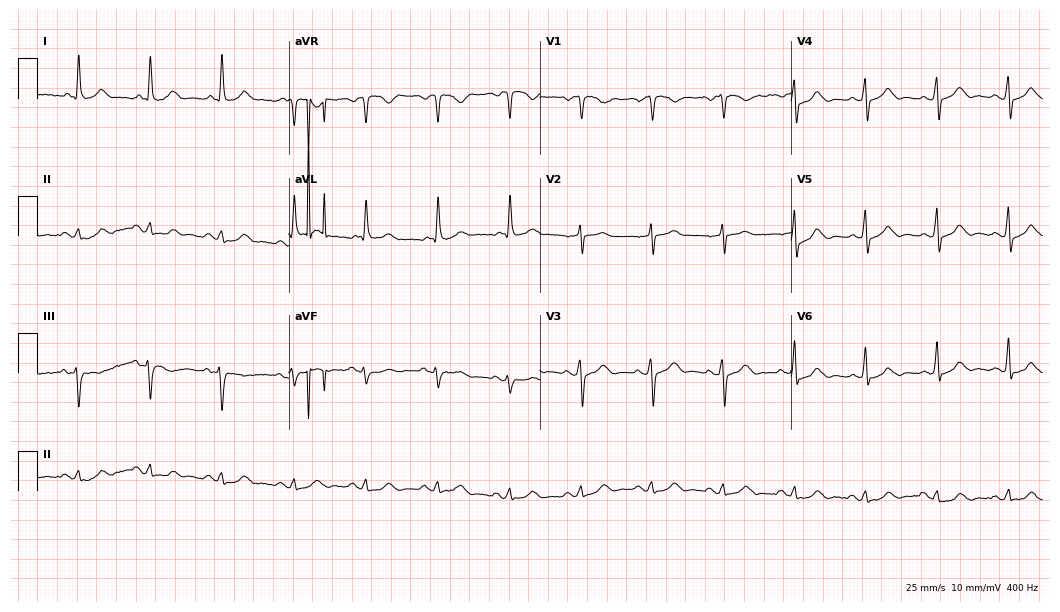
Standard 12-lead ECG recorded from a man, 85 years old. None of these six findings is recorded: first-degree AV block, right bundle branch block, left bundle branch block, sinus bradycardia, atrial fibrillation, sinus tachycardia. Only these six findings were labelled.